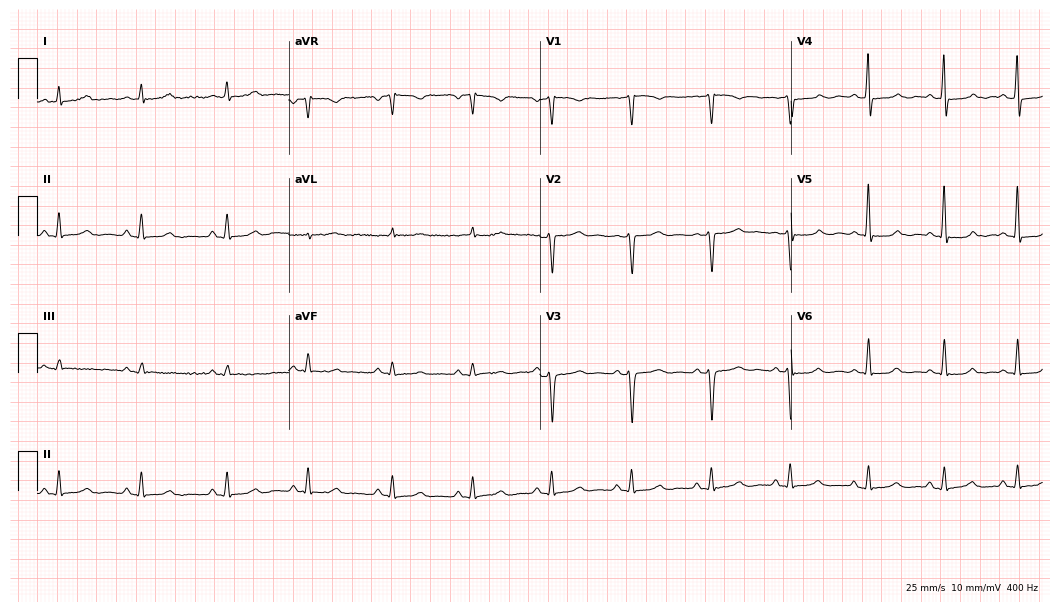
ECG — a female patient, 51 years old. Labelled as a normal ECG.